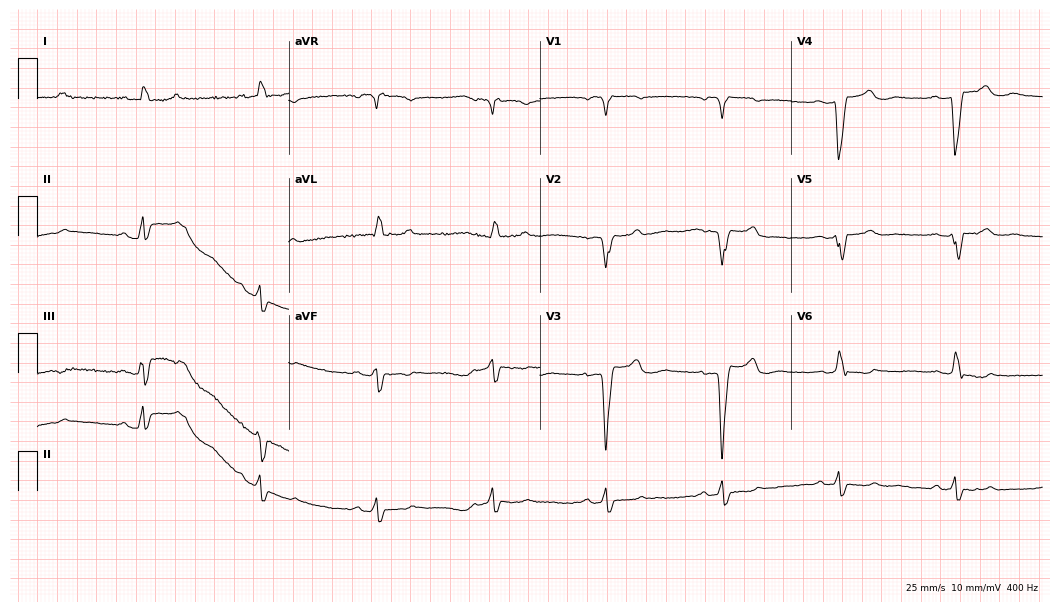
ECG (10.2-second recording at 400 Hz) — a female, 68 years old. Findings include left bundle branch block (LBBB).